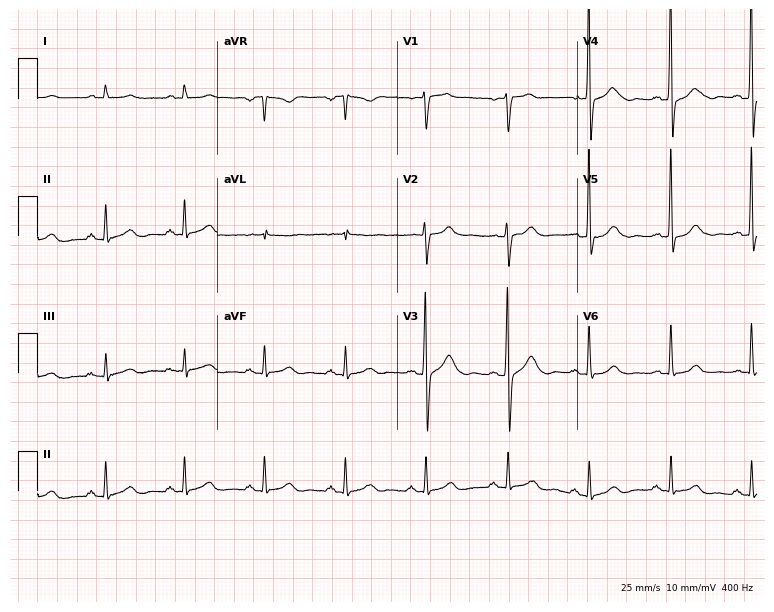
12-lead ECG (7.3-second recording at 400 Hz) from a 66-year-old male. Labelled as a normal ECG.